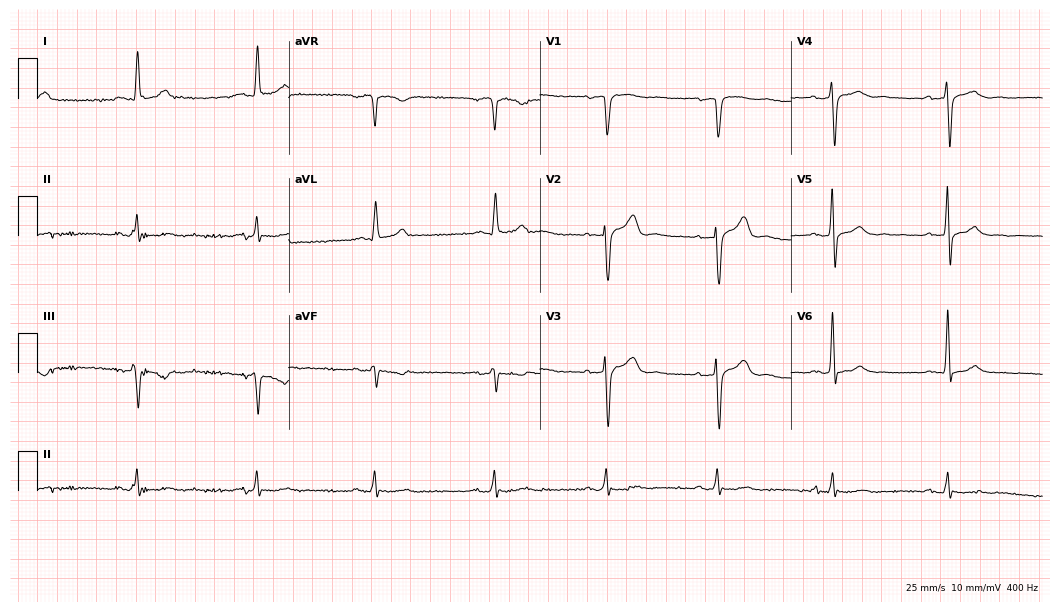
Standard 12-lead ECG recorded from a female, 54 years old. The tracing shows sinus bradycardia (a sinus rate of 50 beats per minute or less).